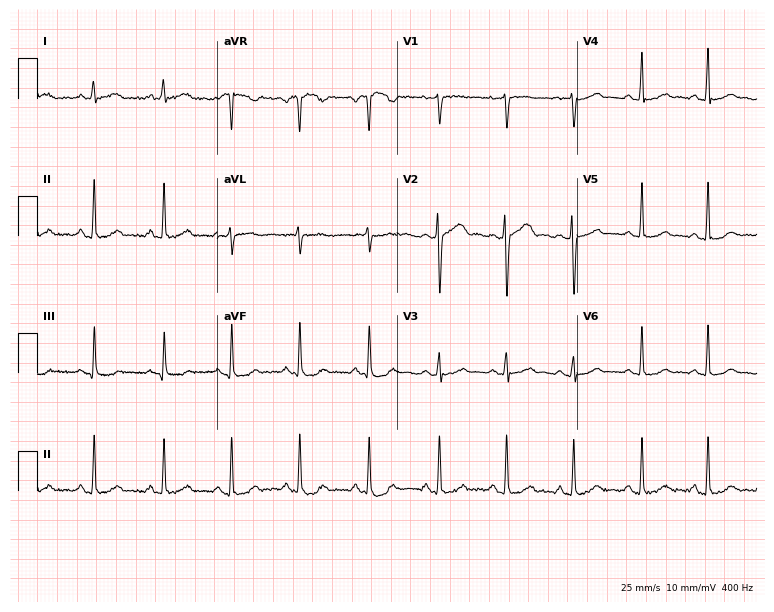
Resting 12-lead electrocardiogram (7.3-second recording at 400 Hz). Patient: a female, 32 years old. Read as a normal ECG.